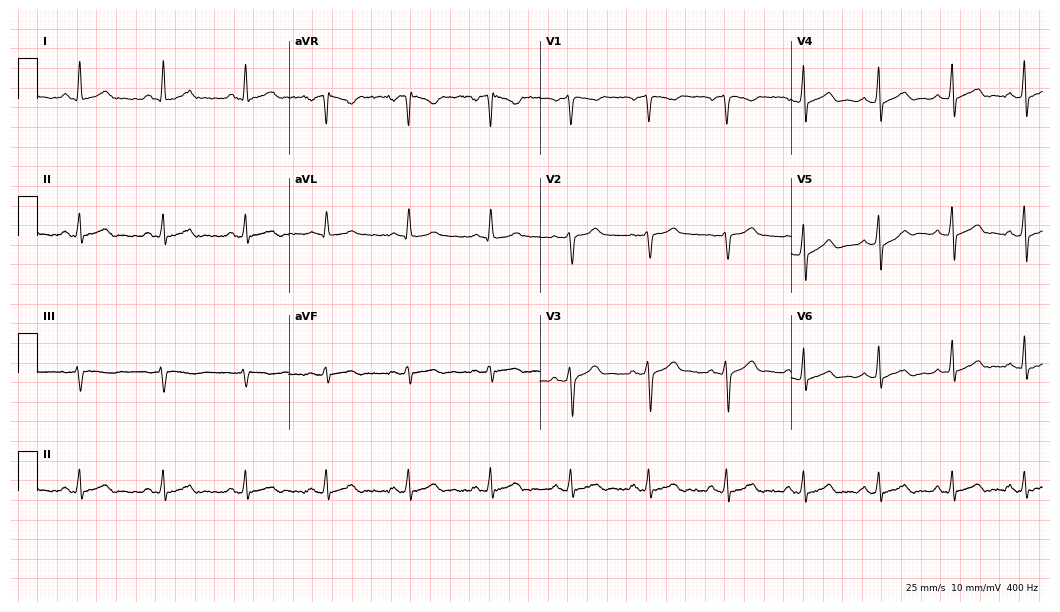
Standard 12-lead ECG recorded from a man, 60 years old. Read as a normal ECG.